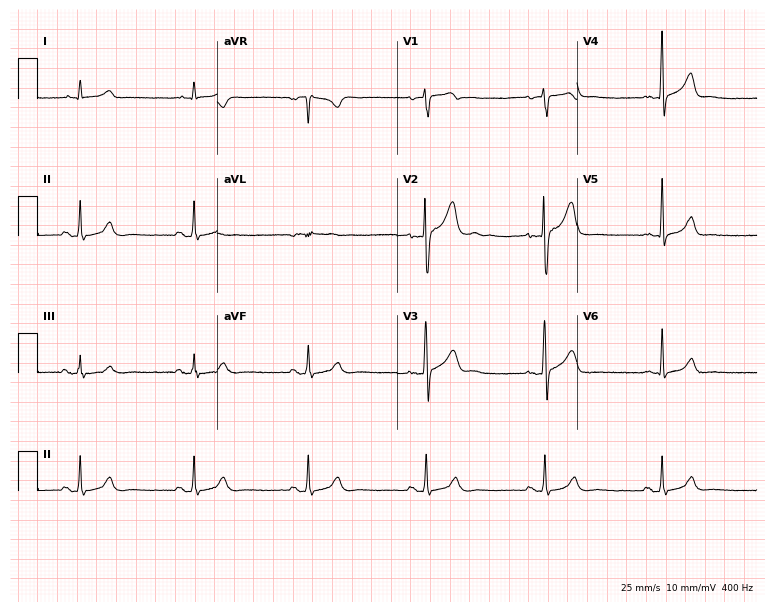
ECG (7.3-second recording at 400 Hz) — a male, 36 years old. Screened for six findings — first-degree AV block, right bundle branch block (RBBB), left bundle branch block (LBBB), sinus bradycardia, atrial fibrillation (AF), sinus tachycardia — none is recorded.